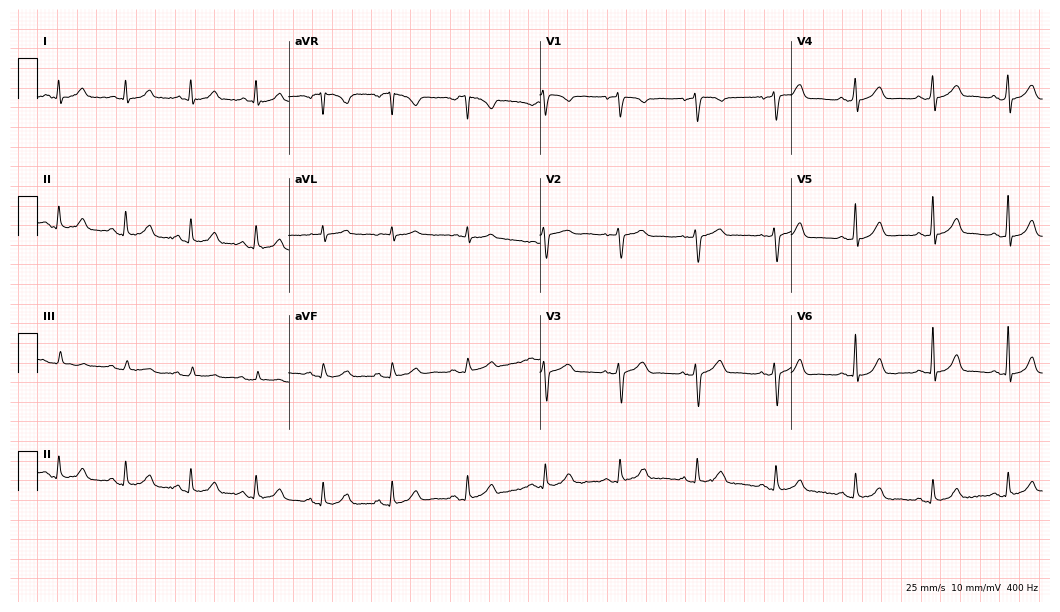
12-lead ECG from a 49-year-old female patient (10.2-second recording at 400 Hz). Recorded interpretation: within normal limits.